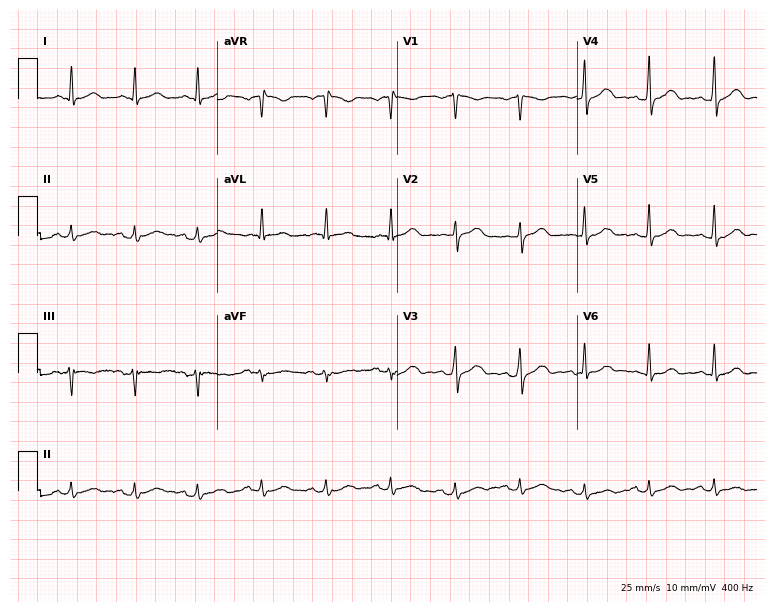
12-lead ECG from a 47-year-old man. Labelled as a normal ECG.